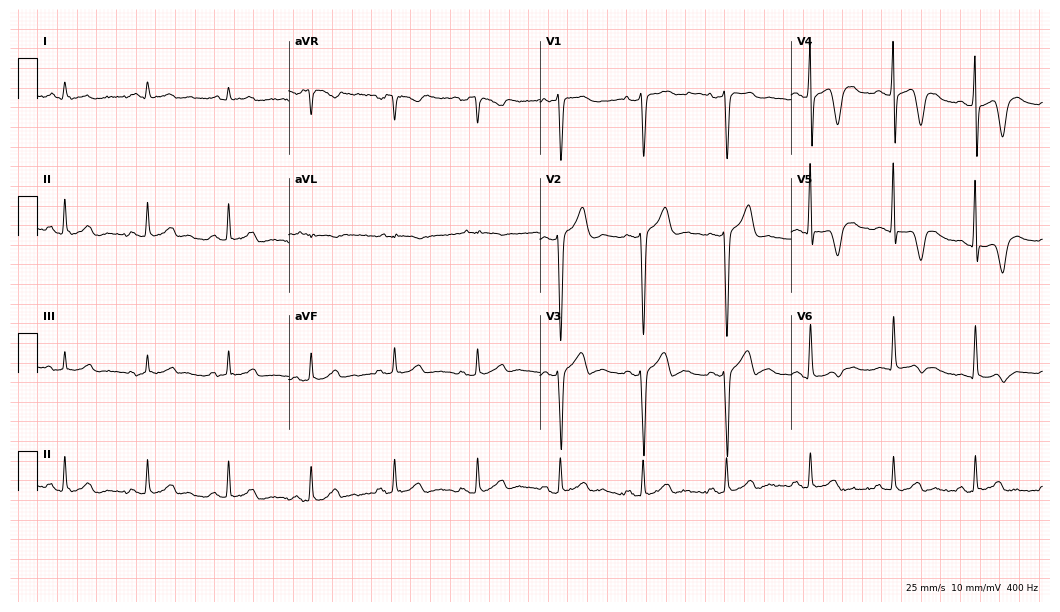
Standard 12-lead ECG recorded from a 54-year-old male patient (10.2-second recording at 400 Hz). None of these six findings is recorded: first-degree AV block, right bundle branch block, left bundle branch block, sinus bradycardia, atrial fibrillation, sinus tachycardia. Other findings, if any, are not listed.